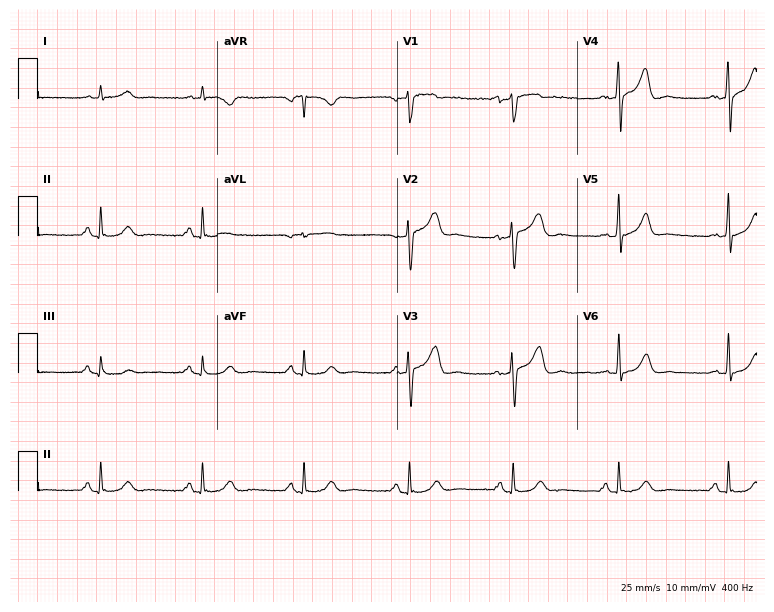
12-lead ECG (7.3-second recording at 400 Hz) from a 47-year-old male patient. Labelled as a normal ECG.